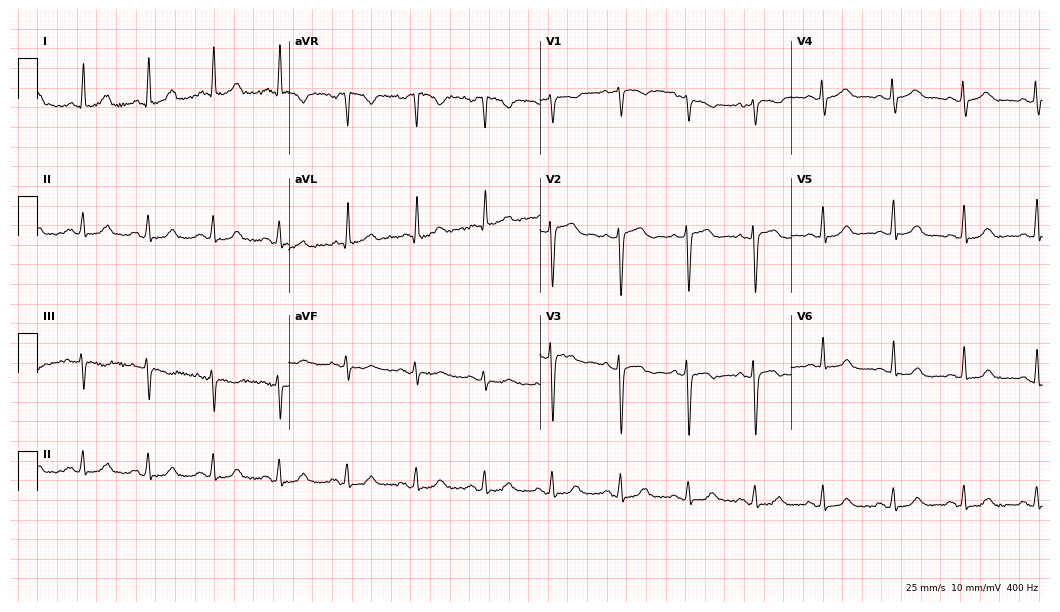
12-lead ECG from a woman, 71 years old (10.2-second recording at 400 Hz). No first-degree AV block, right bundle branch block, left bundle branch block, sinus bradycardia, atrial fibrillation or sinus tachycardia recorded for this tracing.